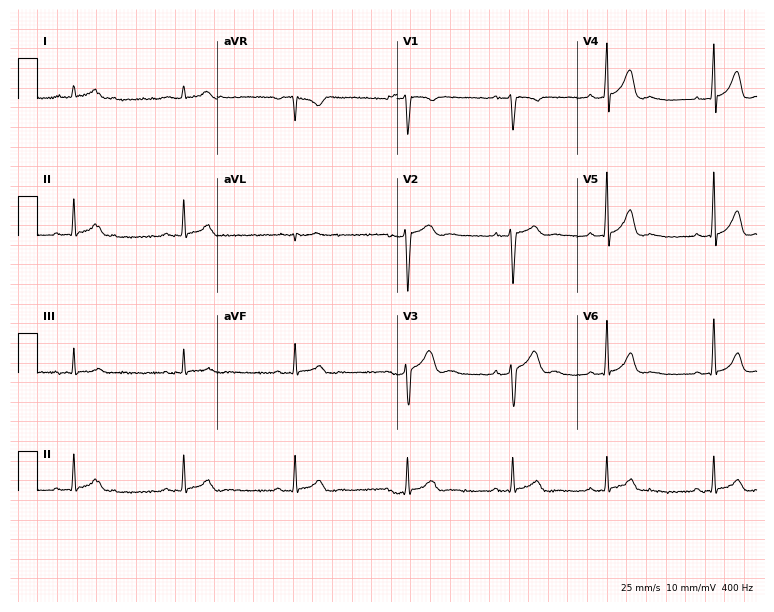
Electrocardiogram (7.3-second recording at 400 Hz), a 30-year-old man. Of the six screened findings (first-degree AV block, right bundle branch block (RBBB), left bundle branch block (LBBB), sinus bradycardia, atrial fibrillation (AF), sinus tachycardia), none is recorded. Other findings, if any, are not listed.